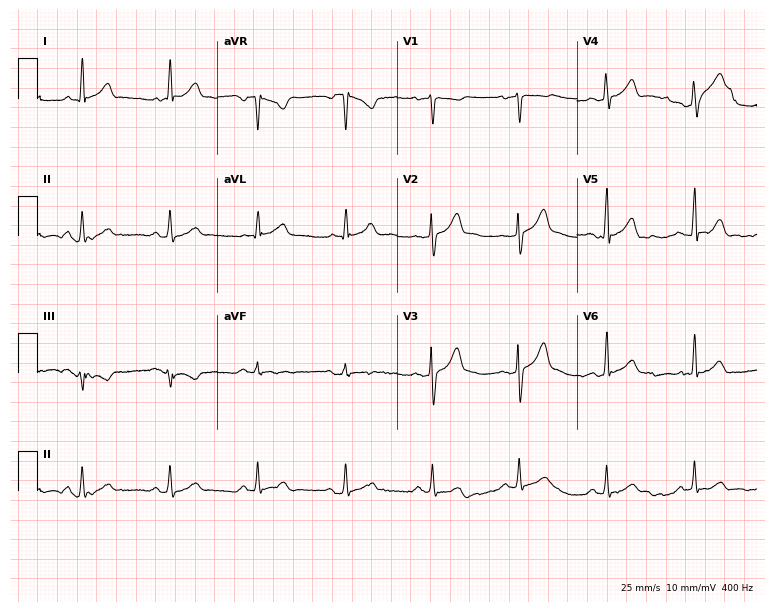
Resting 12-lead electrocardiogram (7.3-second recording at 400 Hz). Patient: a male, 41 years old. Read as a normal ECG.